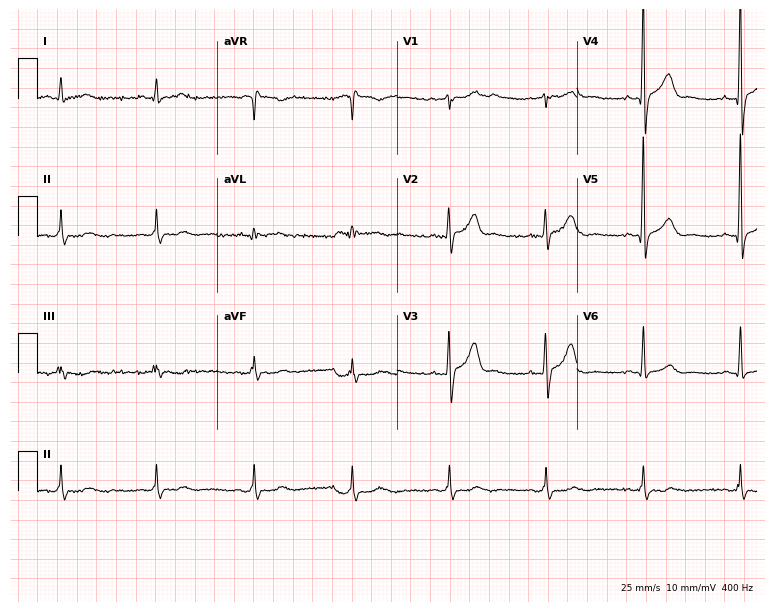
Resting 12-lead electrocardiogram. Patient: a man, 60 years old. None of these six findings is recorded: first-degree AV block, right bundle branch block (RBBB), left bundle branch block (LBBB), sinus bradycardia, atrial fibrillation (AF), sinus tachycardia.